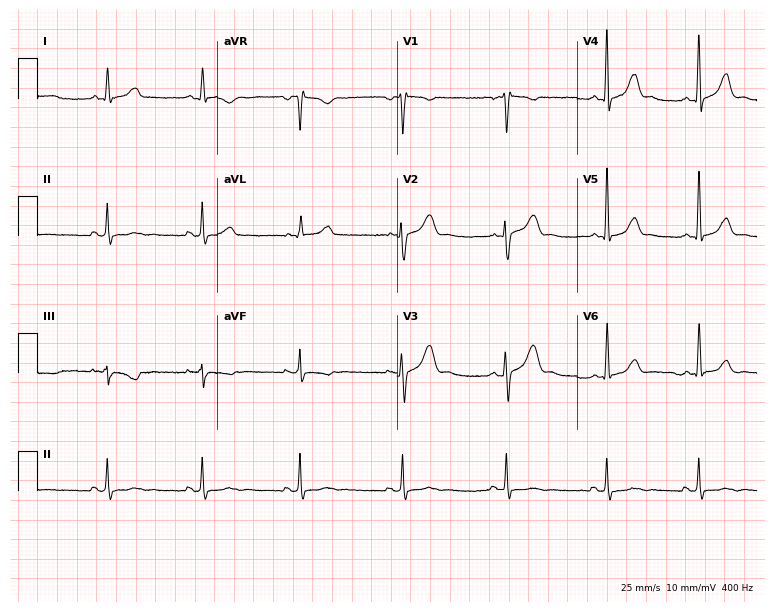
Electrocardiogram, a 19-year-old male patient. Overall reading on record: normal ECG.